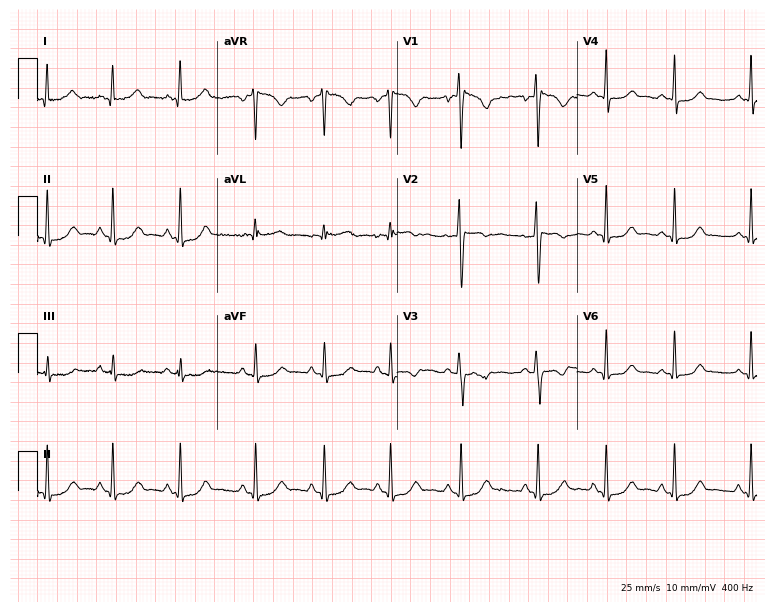
ECG (7.3-second recording at 400 Hz) — a 27-year-old female patient. Screened for six findings — first-degree AV block, right bundle branch block, left bundle branch block, sinus bradycardia, atrial fibrillation, sinus tachycardia — none is recorded.